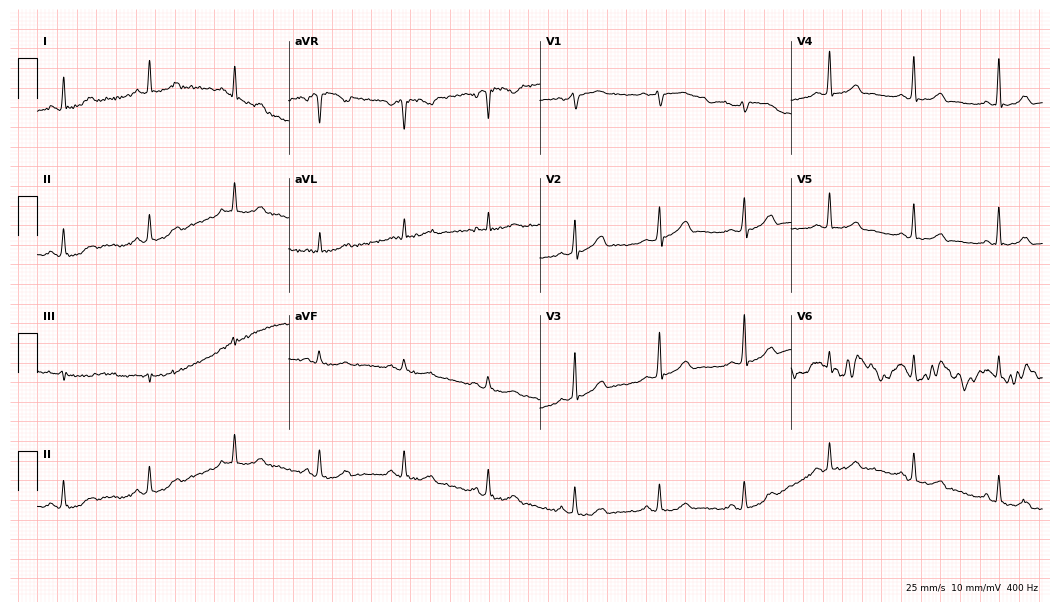
ECG — a male patient, 61 years old. Screened for six findings — first-degree AV block, right bundle branch block (RBBB), left bundle branch block (LBBB), sinus bradycardia, atrial fibrillation (AF), sinus tachycardia — none is recorded. Findings outside these six are not listed.